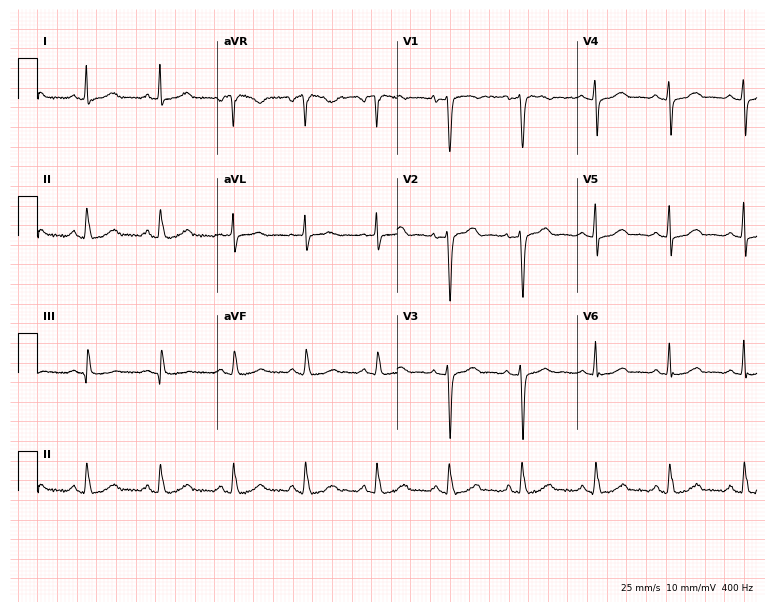
12-lead ECG from a 42-year-old female patient. Recorded interpretation: within normal limits.